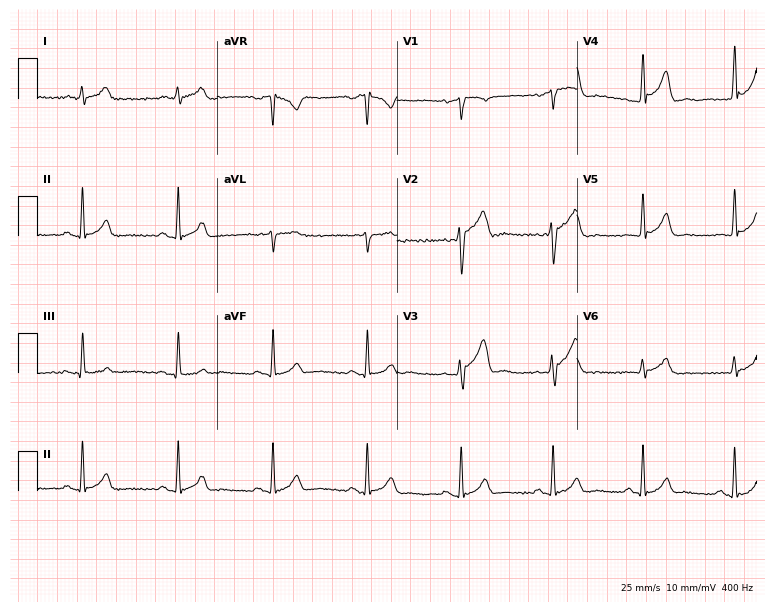
12-lead ECG from a 48-year-old male. Screened for six findings — first-degree AV block, right bundle branch block (RBBB), left bundle branch block (LBBB), sinus bradycardia, atrial fibrillation (AF), sinus tachycardia — none is recorded. Other findings, if any, are not listed.